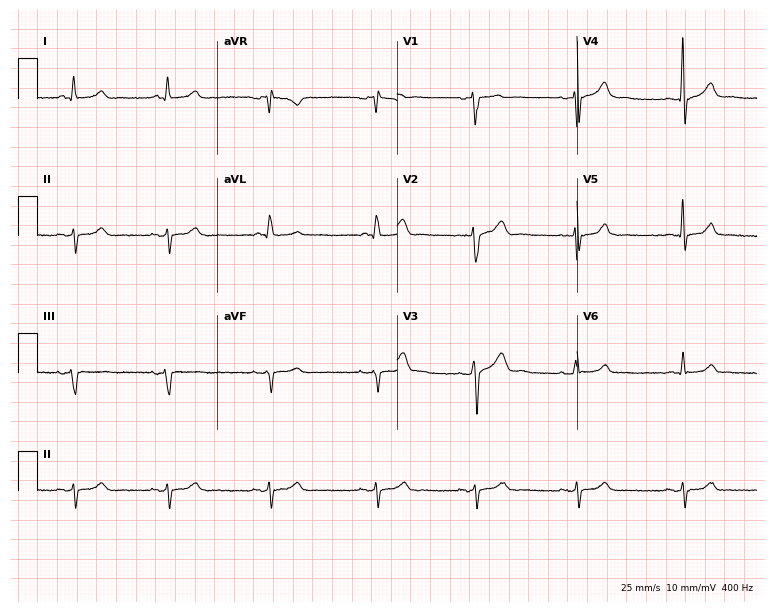
Electrocardiogram (7.3-second recording at 400 Hz), a male, 29 years old. Of the six screened findings (first-degree AV block, right bundle branch block, left bundle branch block, sinus bradycardia, atrial fibrillation, sinus tachycardia), none is recorded.